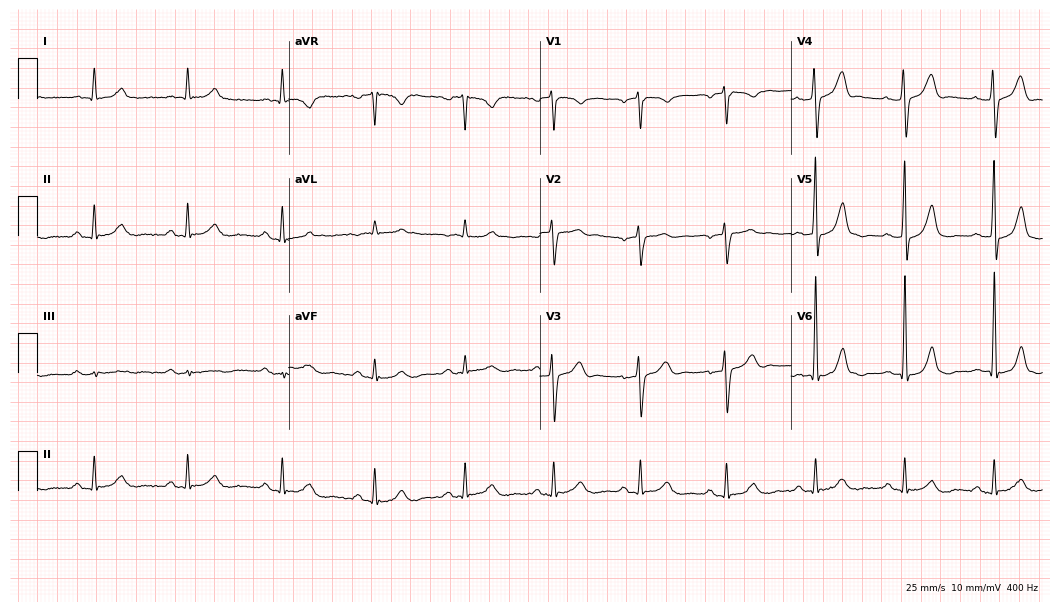
Resting 12-lead electrocardiogram (10.2-second recording at 400 Hz). Patient: a male, 64 years old. Read as a normal ECG.